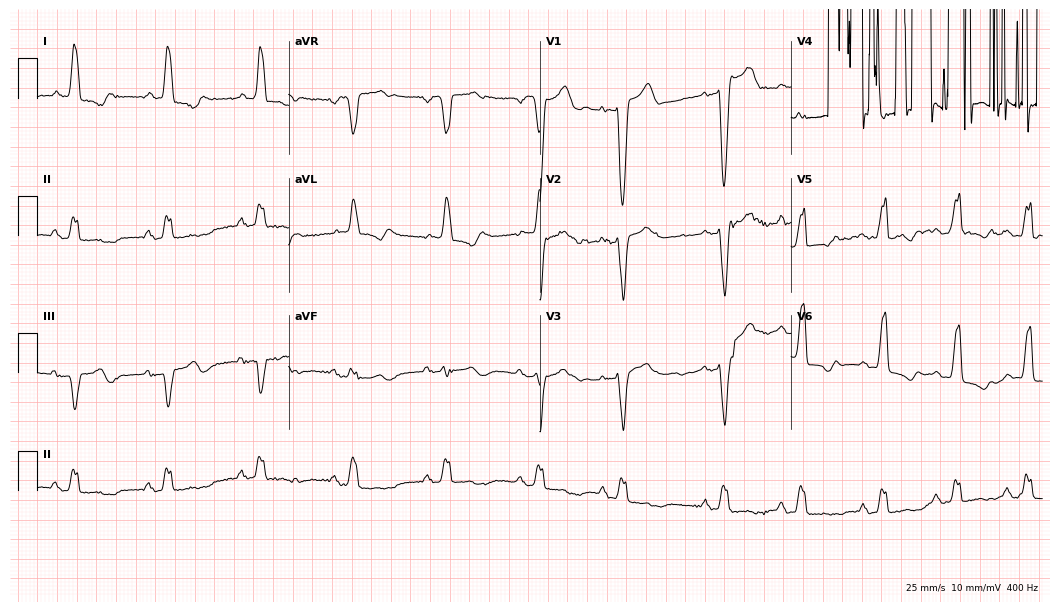
ECG (10.2-second recording at 400 Hz) — a female patient, 81 years old. Findings include left bundle branch block (LBBB).